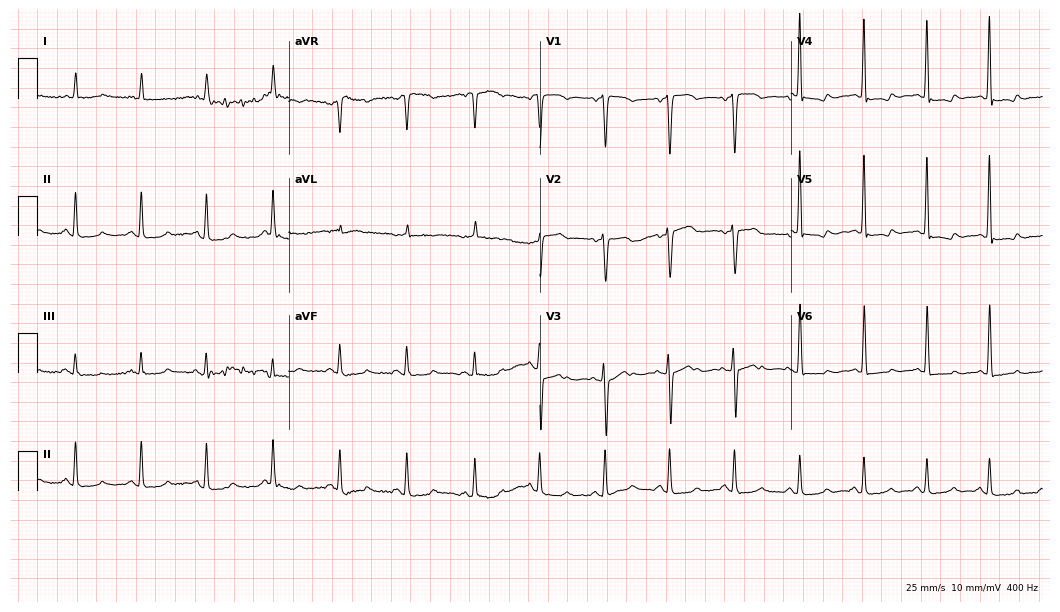
ECG — a 74-year-old female. Screened for six findings — first-degree AV block, right bundle branch block, left bundle branch block, sinus bradycardia, atrial fibrillation, sinus tachycardia — none is recorded. Other findings, if any, are not listed.